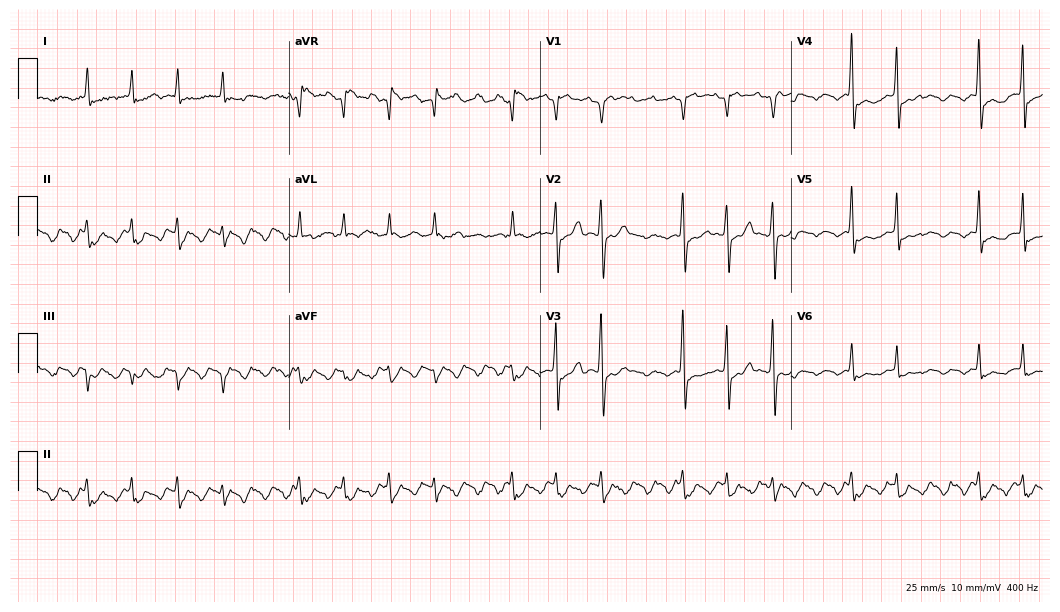
12-lead ECG from a 72-year-old male (10.2-second recording at 400 Hz). No first-degree AV block, right bundle branch block, left bundle branch block, sinus bradycardia, atrial fibrillation or sinus tachycardia recorded for this tracing.